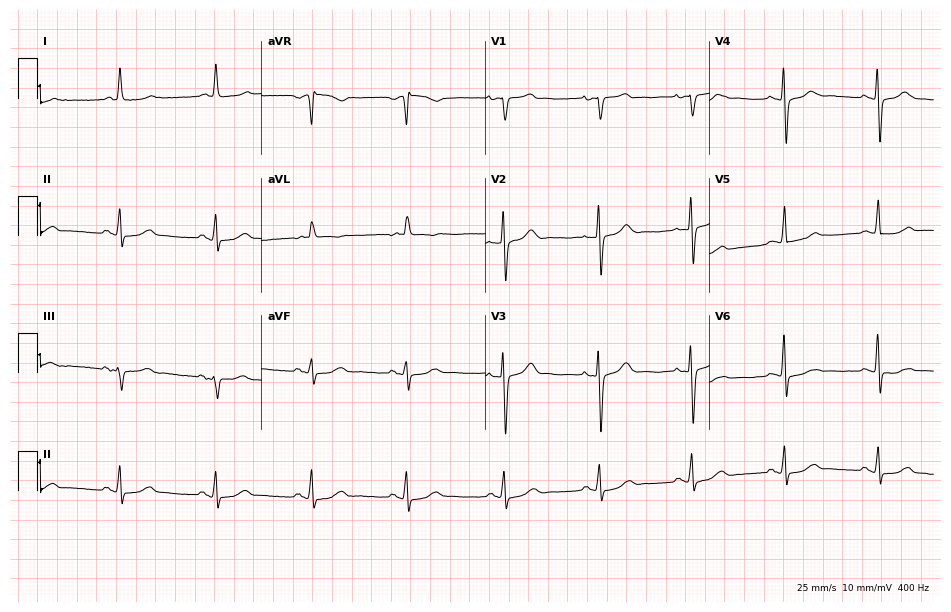
12-lead ECG from a female patient, 77 years old. Screened for six findings — first-degree AV block, right bundle branch block (RBBB), left bundle branch block (LBBB), sinus bradycardia, atrial fibrillation (AF), sinus tachycardia — none is recorded. Only these six findings were labelled.